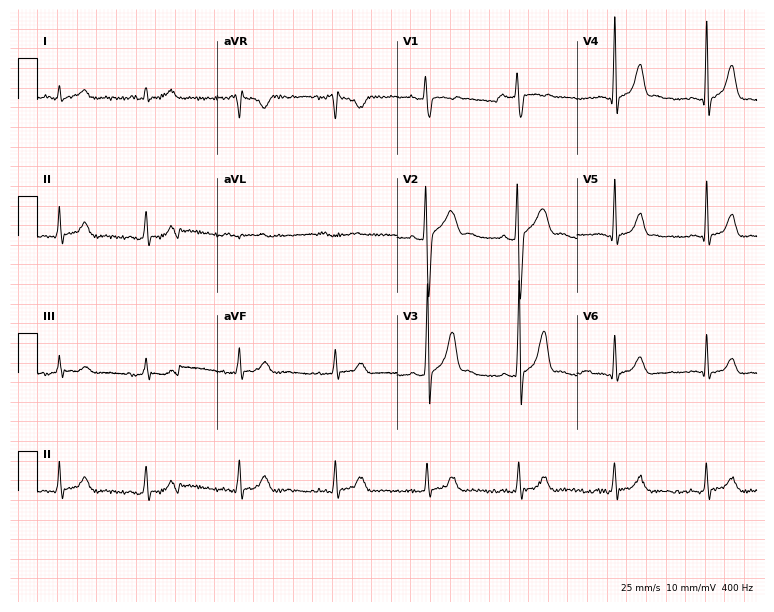
Standard 12-lead ECG recorded from a male patient, 23 years old. Read as a normal ECG.